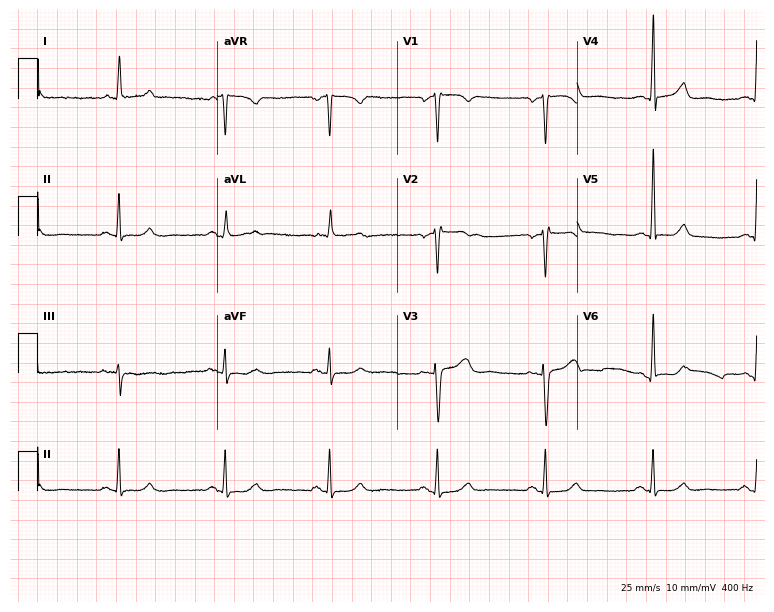
Electrocardiogram (7.3-second recording at 400 Hz), a female, 61 years old. Of the six screened findings (first-degree AV block, right bundle branch block (RBBB), left bundle branch block (LBBB), sinus bradycardia, atrial fibrillation (AF), sinus tachycardia), none is recorded.